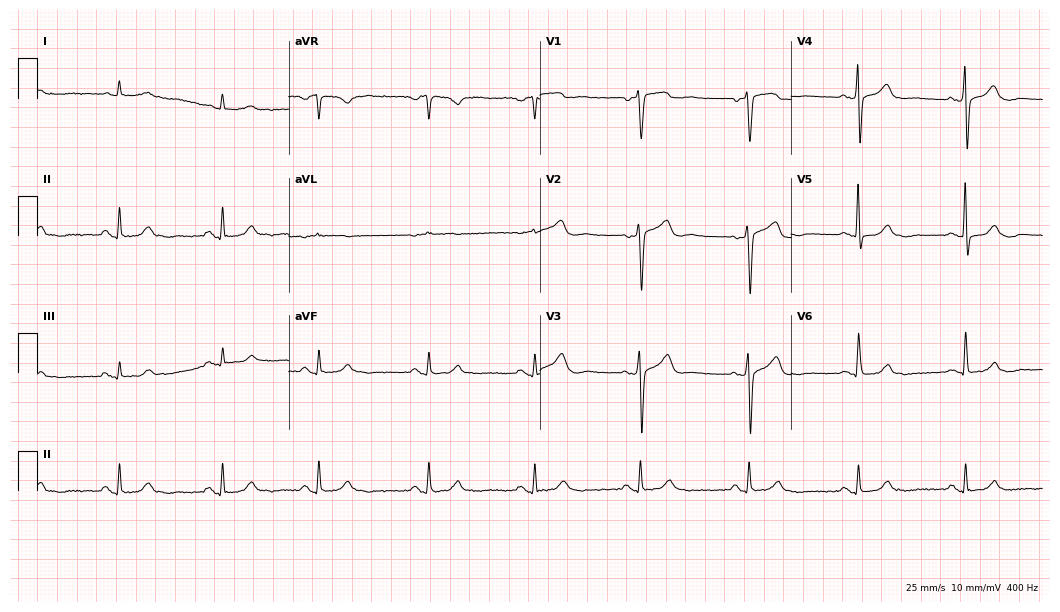
ECG (10.2-second recording at 400 Hz) — a male, 75 years old. Labelled as a normal ECG.